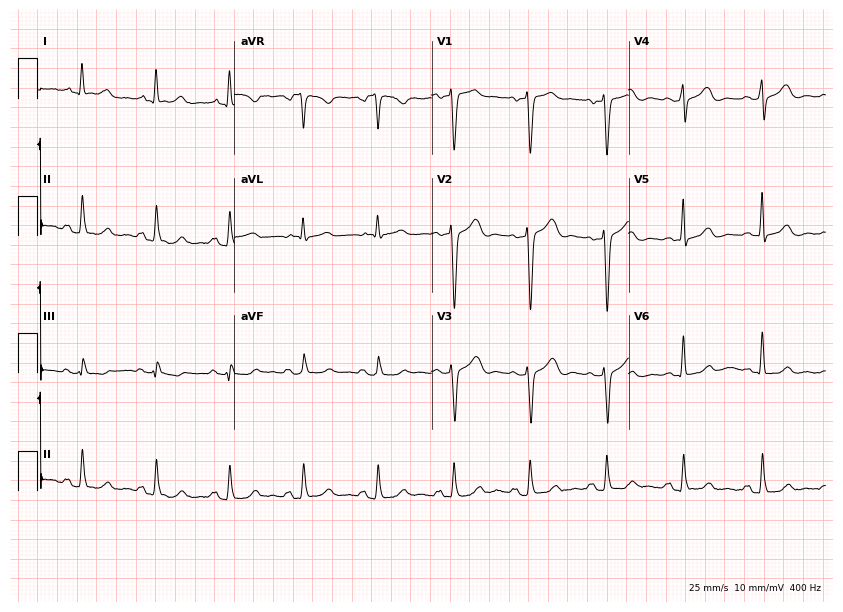
Resting 12-lead electrocardiogram (8-second recording at 400 Hz). Patient: a female, 46 years old. None of these six findings is recorded: first-degree AV block, right bundle branch block, left bundle branch block, sinus bradycardia, atrial fibrillation, sinus tachycardia. Only these six findings were labelled.